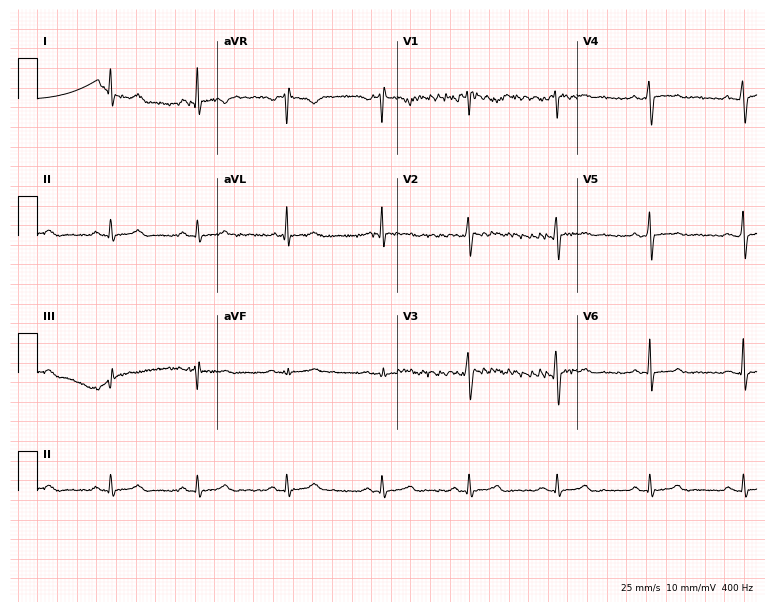
ECG — a 42-year-old male. Screened for six findings — first-degree AV block, right bundle branch block, left bundle branch block, sinus bradycardia, atrial fibrillation, sinus tachycardia — none is recorded.